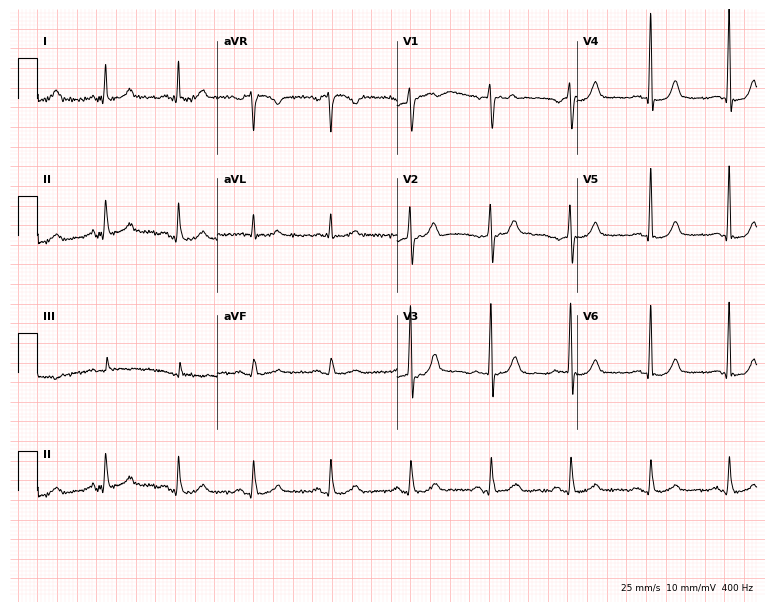
Resting 12-lead electrocardiogram. Patient: a 50-year-old female. None of these six findings is recorded: first-degree AV block, right bundle branch block, left bundle branch block, sinus bradycardia, atrial fibrillation, sinus tachycardia.